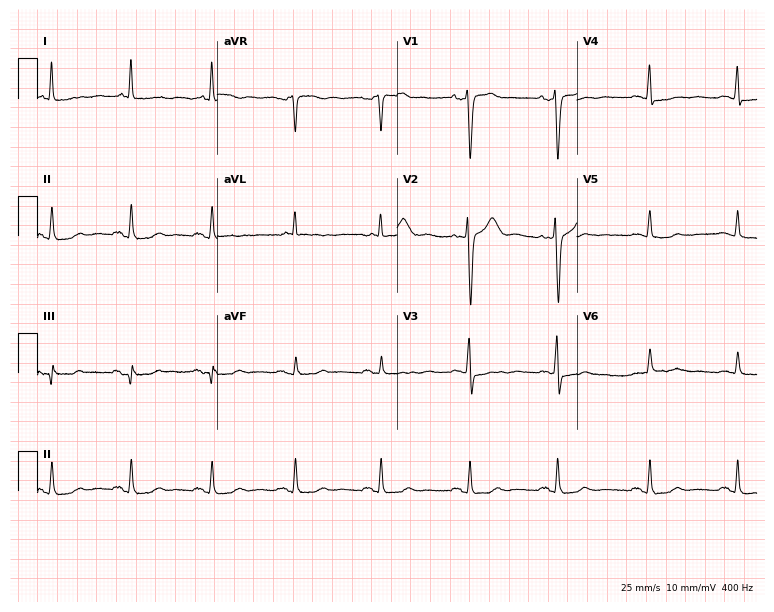
ECG (7.3-second recording at 400 Hz) — an 84-year-old man. Screened for six findings — first-degree AV block, right bundle branch block (RBBB), left bundle branch block (LBBB), sinus bradycardia, atrial fibrillation (AF), sinus tachycardia — none is recorded. Other findings, if any, are not listed.